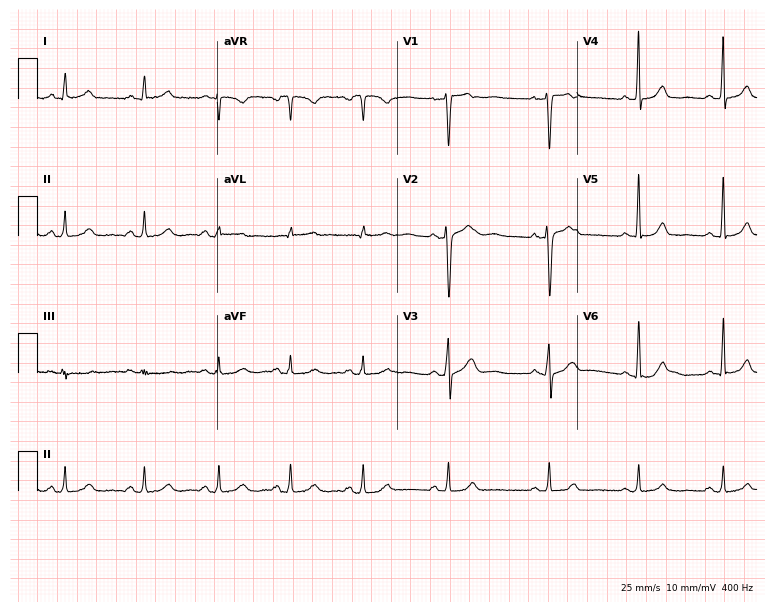
Electrocardiogram, a woman, 40 years old. Overall reading on record: normal ECG.